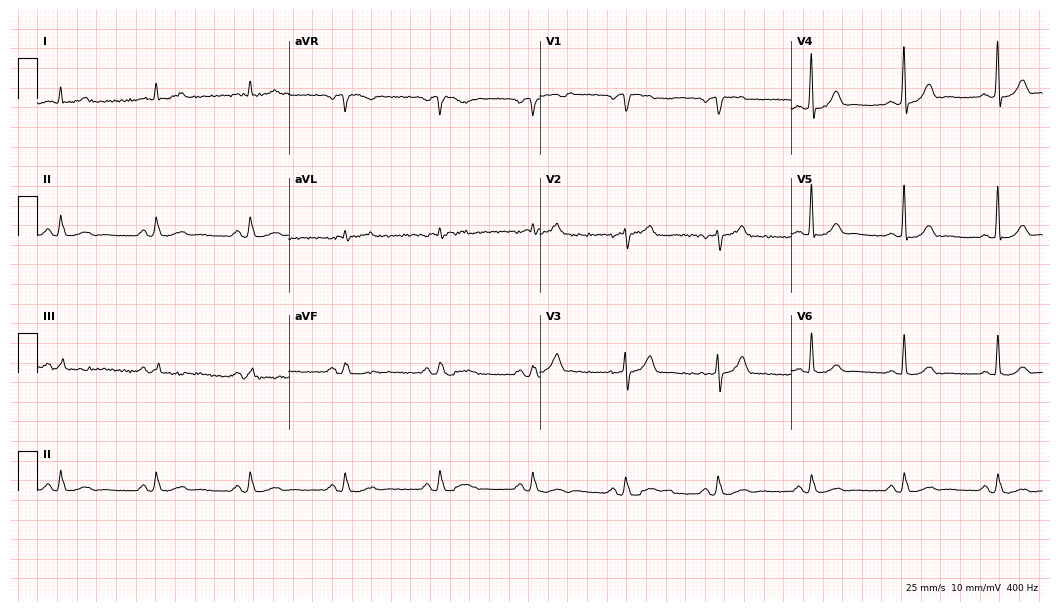
Electrocardiogram (10.2-second recording at 400 Hz), a 65-year-old male. Of the six screened findings (first-degree AV block, right bundle branch block (RBBB), left bundle branch block (LBBB), sinus bradycardia, atrial fibrillation (AF), sinus tachycardia), none is recorded. Only these six findings were labelled.